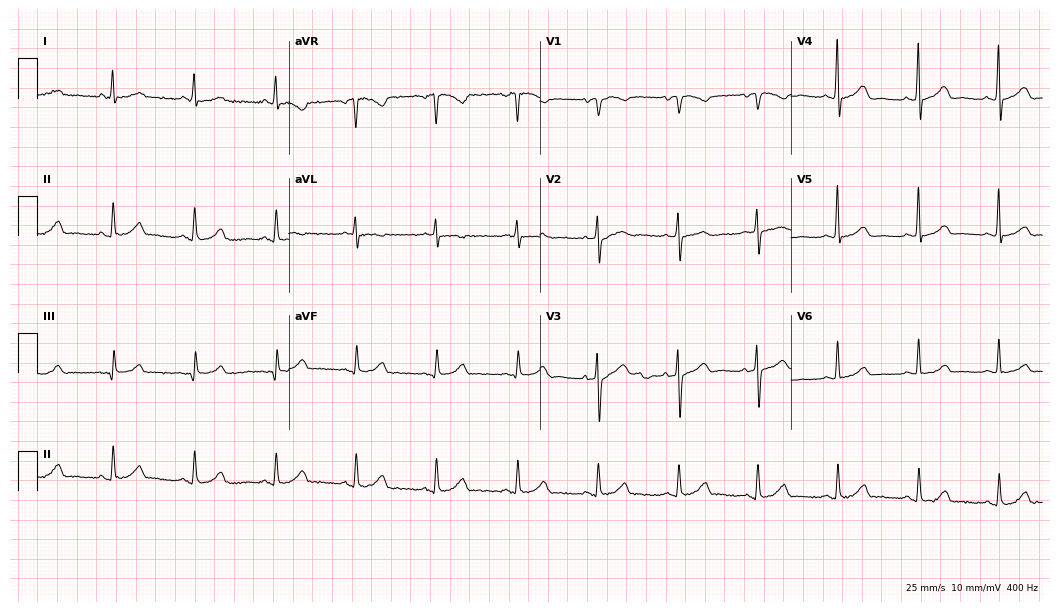
12-lead ECG from a 62-year-old female. Recorded interpretation: within normal limits.